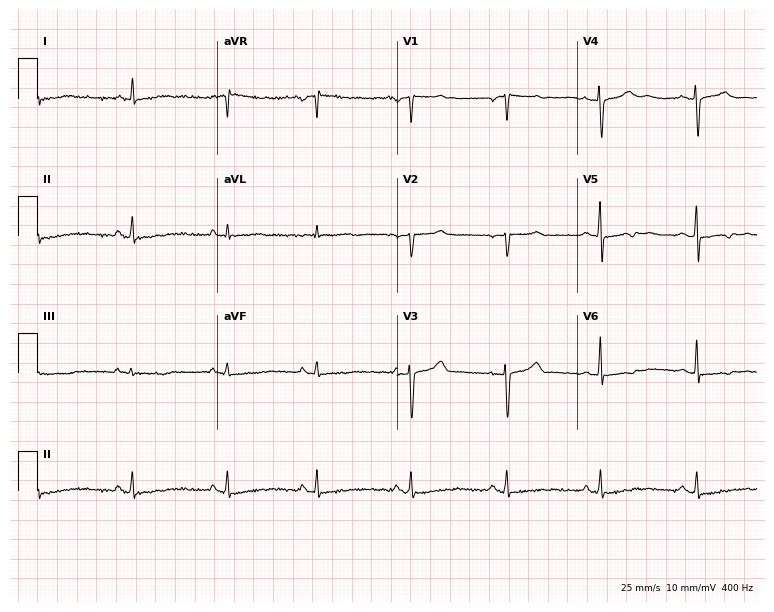
12-lead ECG from a 51-year-old female patient. Recorded interpretation: within normal limits.